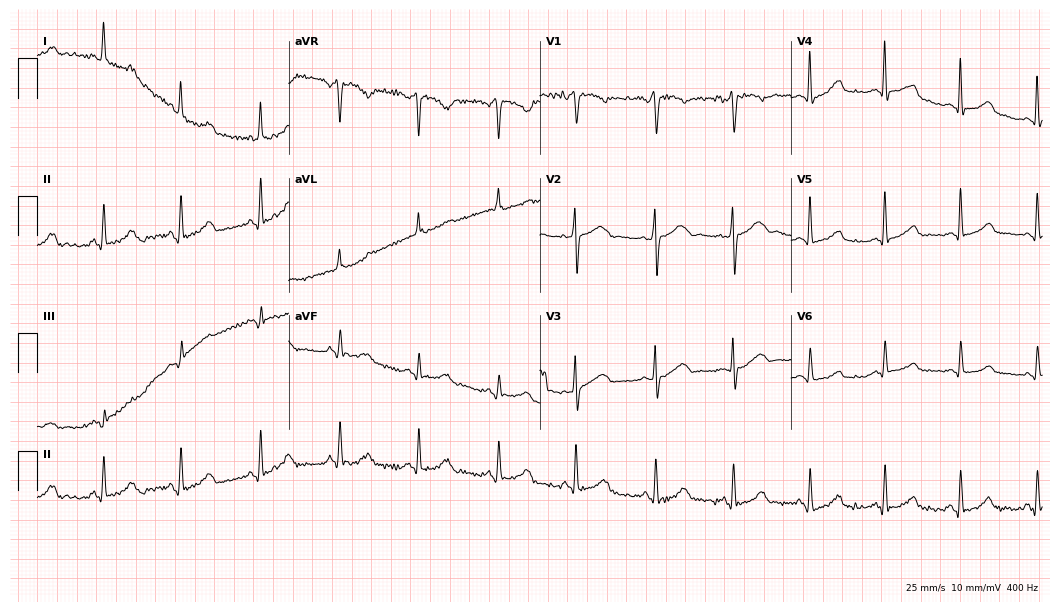
12-lead ECG from a female patient, 57 years old. Screened for six findings — first-degree AV block, right bundle branch block, left bundle branch block, sinus bradycardia, atrial fibrillation, sinus tachycardia — none is recorded.